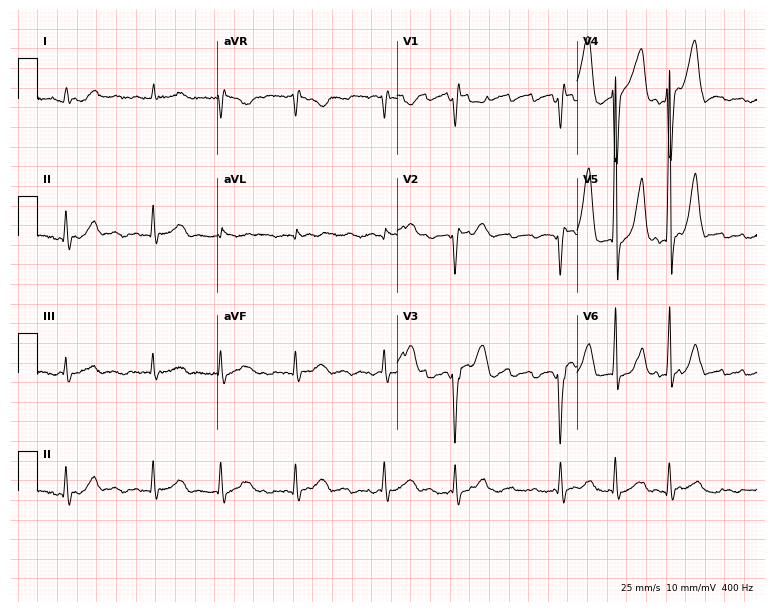
ECG — a 78-year-old male. Findings include atrial fibrillation.